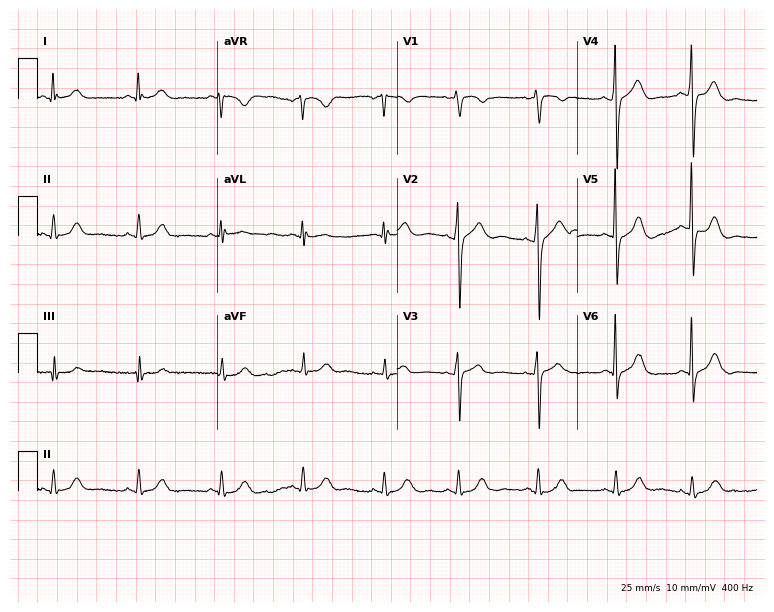
ECG (7.3-second recording at 400 Hz) — a 57-year-old female. Labelled as a normal ECG.